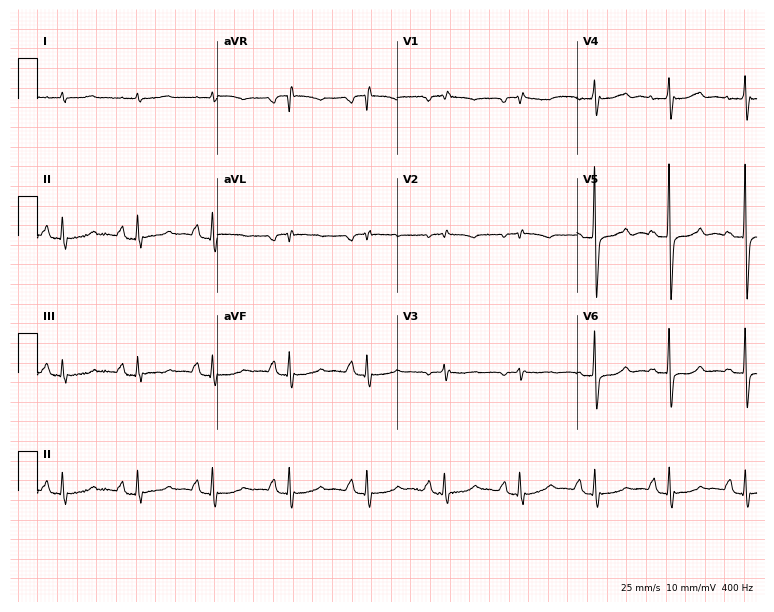
Electrocardiogram, a female, 83 years old. Of the six screened findings (first-degree AV block, right bundle branch block, left bundle branch block, sinus bradycardia, atrial fibrillation, sinus tachycardia), none is recorded.